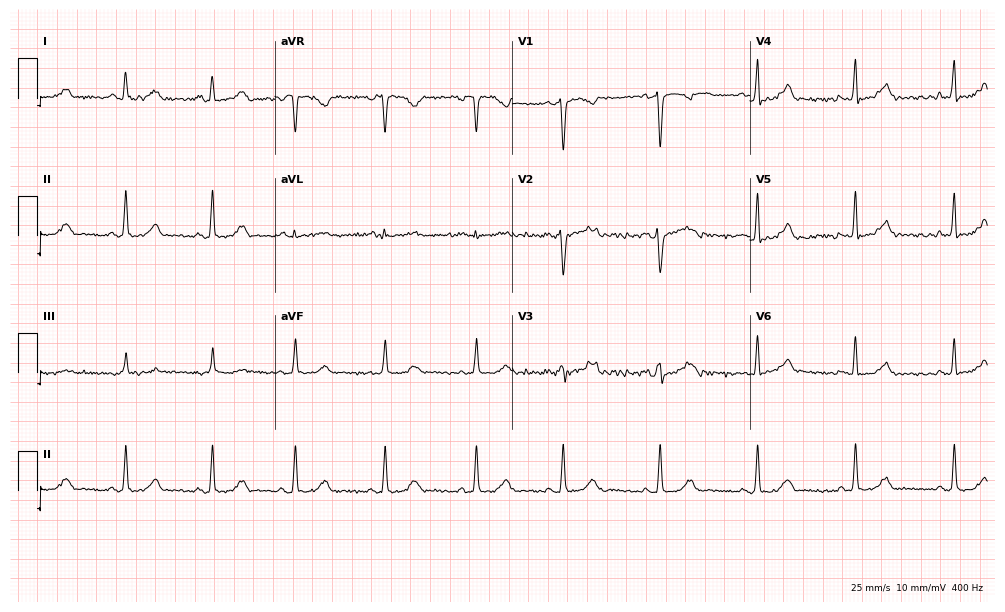
Standard 12-lead ECG recorded from a woman, 32 years old. Read as a normal ECG.